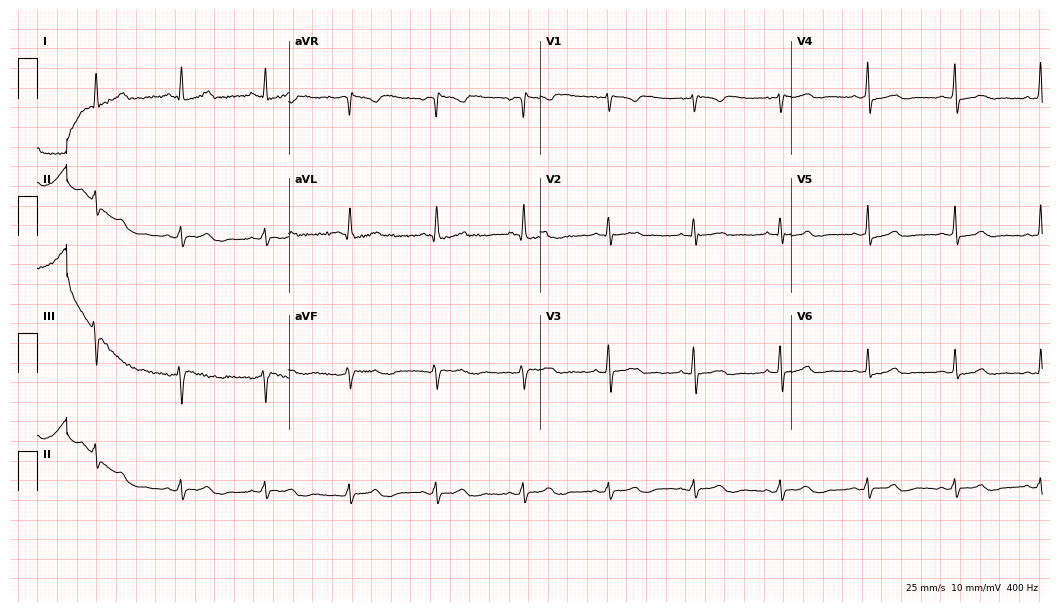
12-lead ECG from a 48-year-old female patient. Labelled as a normal ECG.